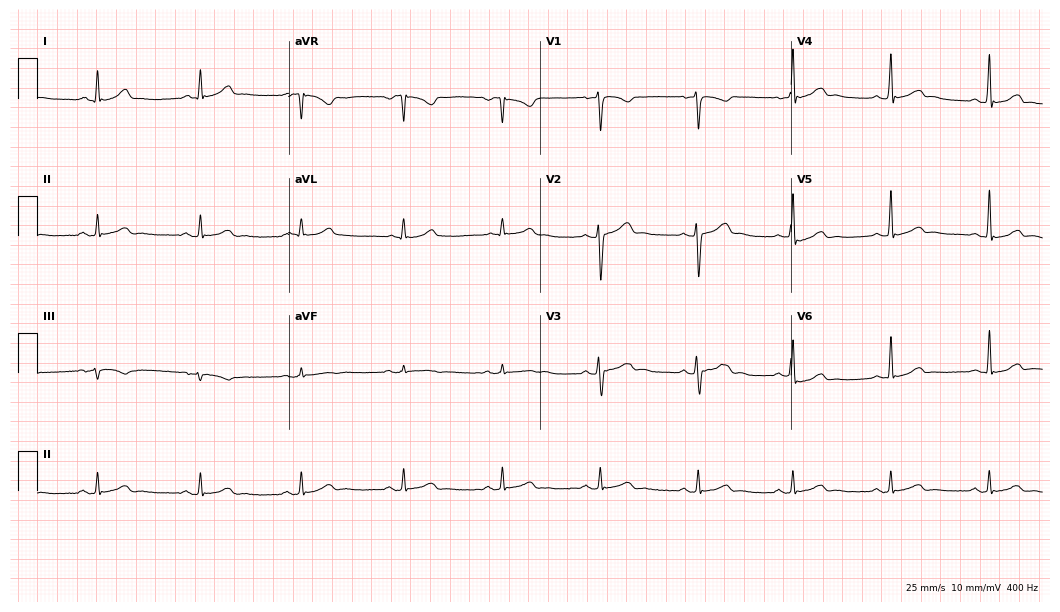
12-lead ECG from a 31-year-old male patient. Recorded interpretation: within normal limits.